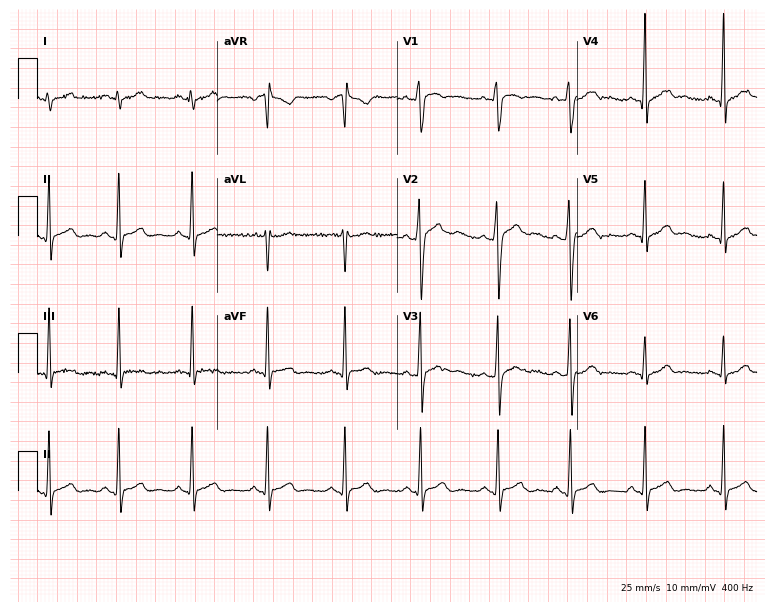
Resting 12-lead electrocardiogram (7.3-second recording at 400 Hz). Patient: a male, 19 years old. Read as a normal ECG.